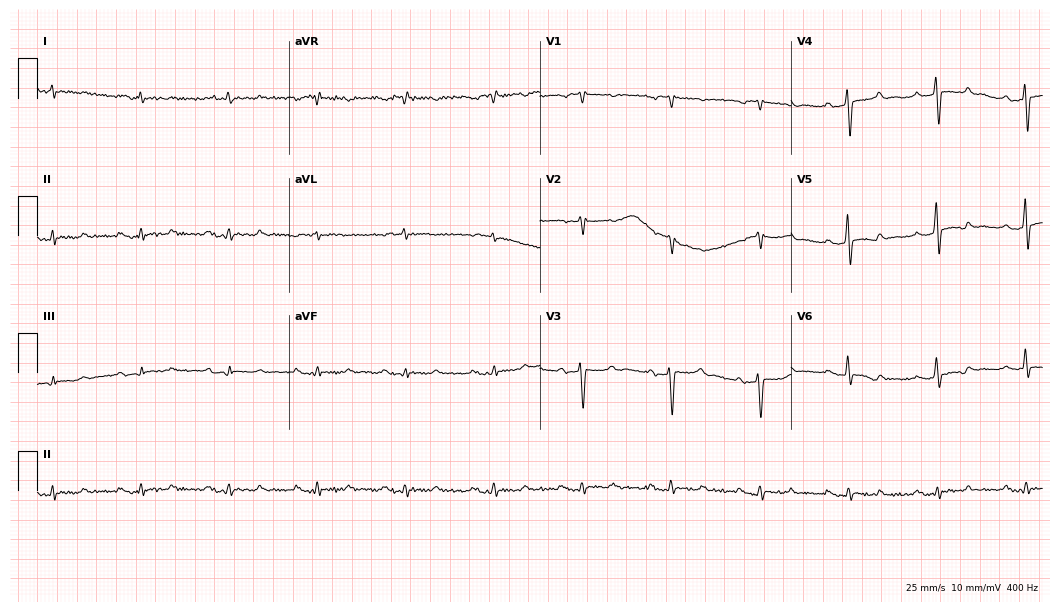
Resting 12-lead electrocardiogram. Patient: a male, 60 years old. The tracing shows first-degree AV block.